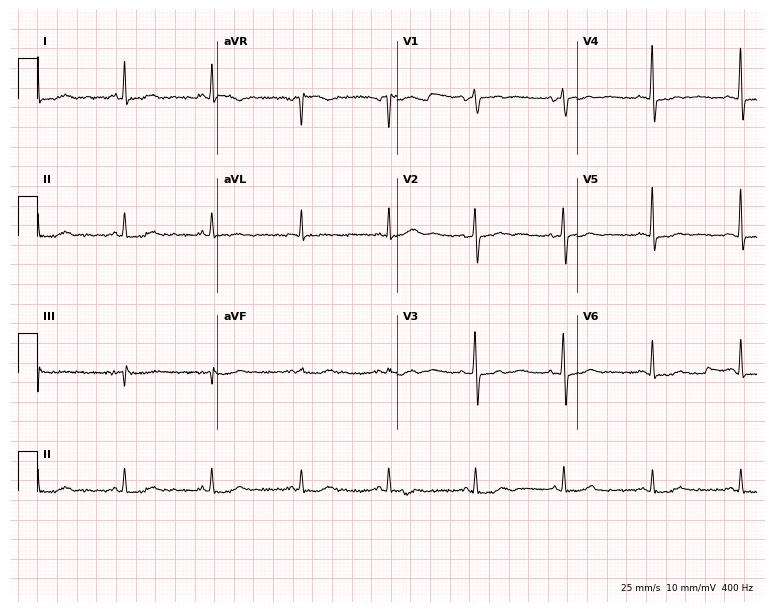
Resting 12-lead electrocardiogram. Patient: a female, 50 years old. None of these six findings is recorded: first-degree AV block, right bundle branch block, left bundle branch block, sinus bradycardia, atrial fibrillation, sinus tachycardia.